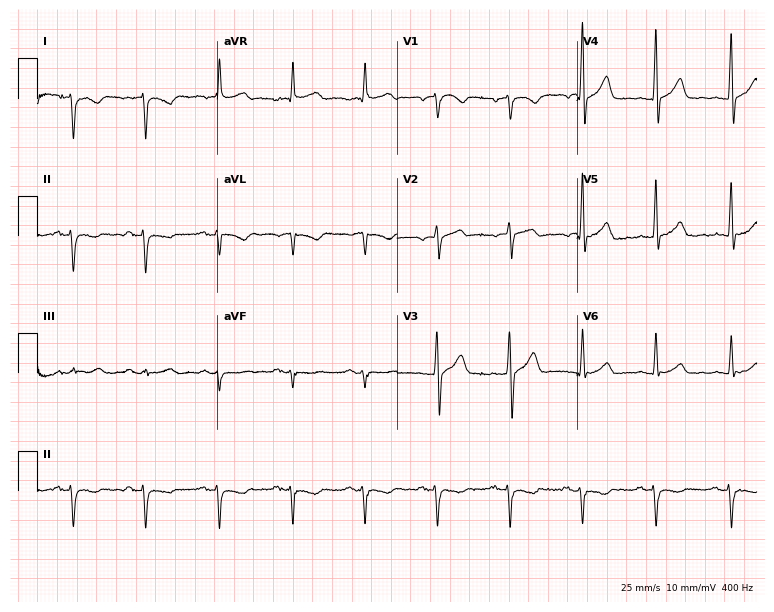
12-lead ECG from a man, 53 years old. No first-degree AV block, right bundle branch block, left bundle branch block, sinus bradycardia, atrial fibrillation or sinus tachycardia recorded for this tracing.